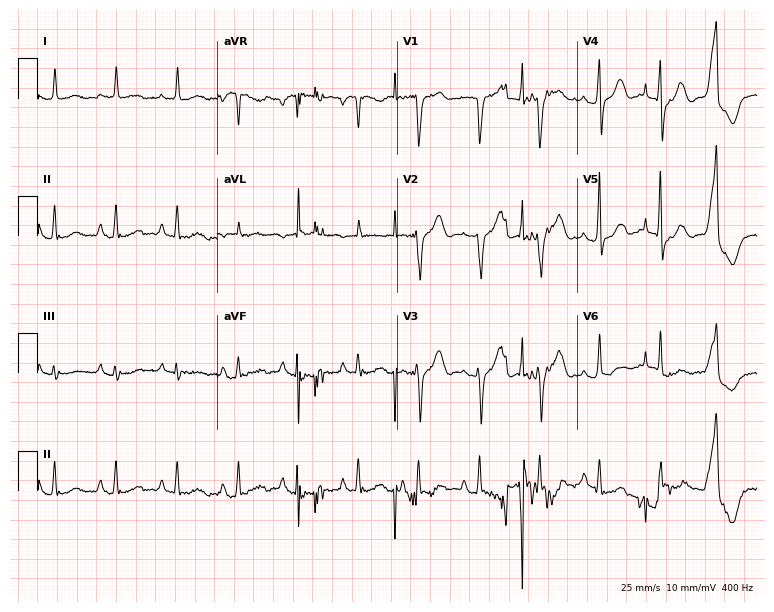
Electrocardiogram (7.3-second recording at 400 Hz), a 58-year-old male patient. Of the six screened findings (first-degree AV block, right bundle branch block (RBBB), left bundle branch block (LBBB), sinus bradycardia, atrial fibrillation (AF), sinus tachycardia), none is recorded. Other findings, if any, are not listed.